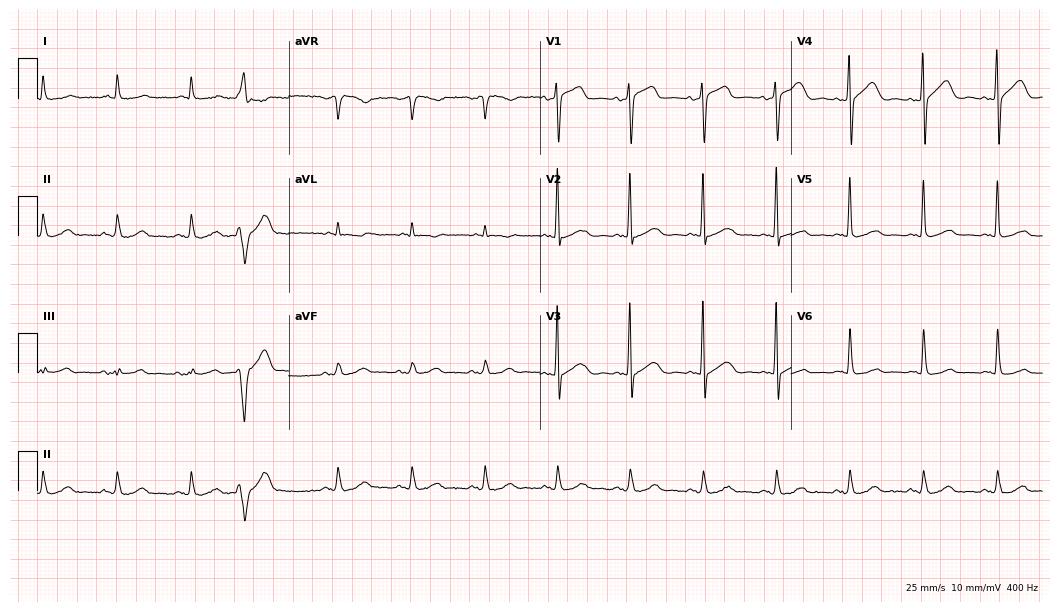
Electrocardiogram (10.2-second recording at 400 Hz), a 69-year-old male. Of the six screened findings (first-degree AV block, right bundle branch block, left bundle branch block, sinus bradycardia, atrial fibrillation, sinus tachycardia), none is recorded.